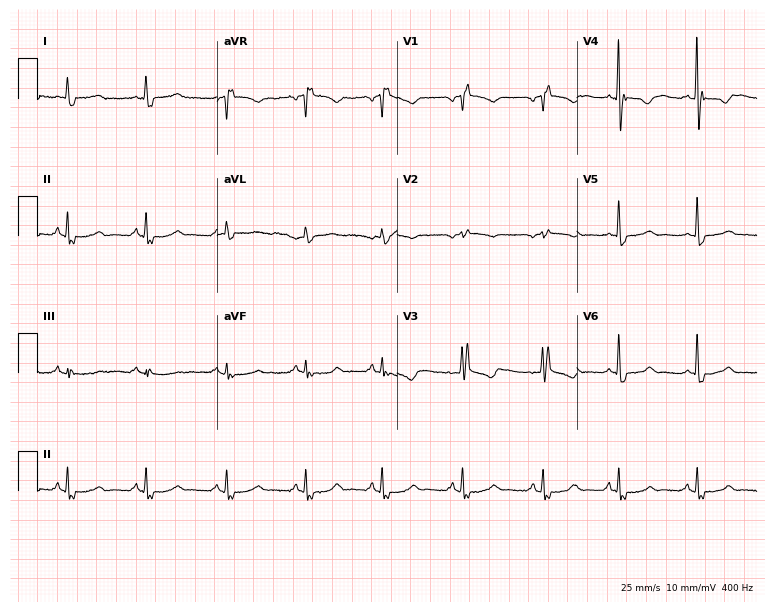
Electrocardiogram (7.3-second recording at 400 Hz), a woman, 83 years old. Interpretation includes right bundle branch block (RBBB).